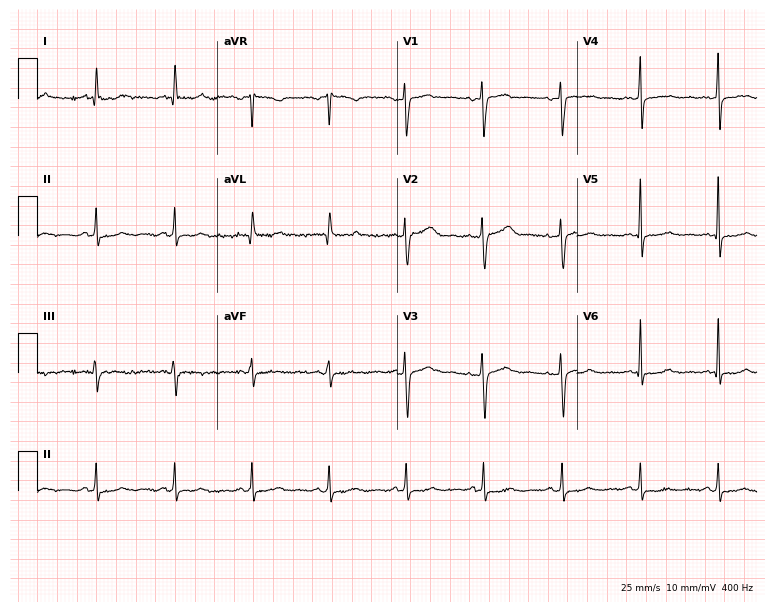
12-lead ECG from a 37-year-old female patient. No first-degree AV block, right bundle branch block, left bundle branch block, sinus bradycardia, atrial fibrillation or sinus tachycardia recorded for this tracing.